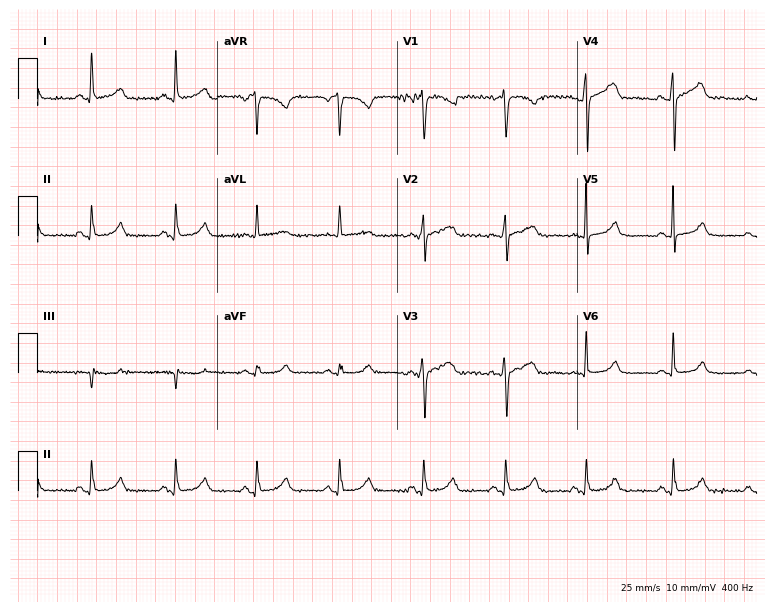
ECG — a 50-year-old woman. Labelled as a normal ECG.